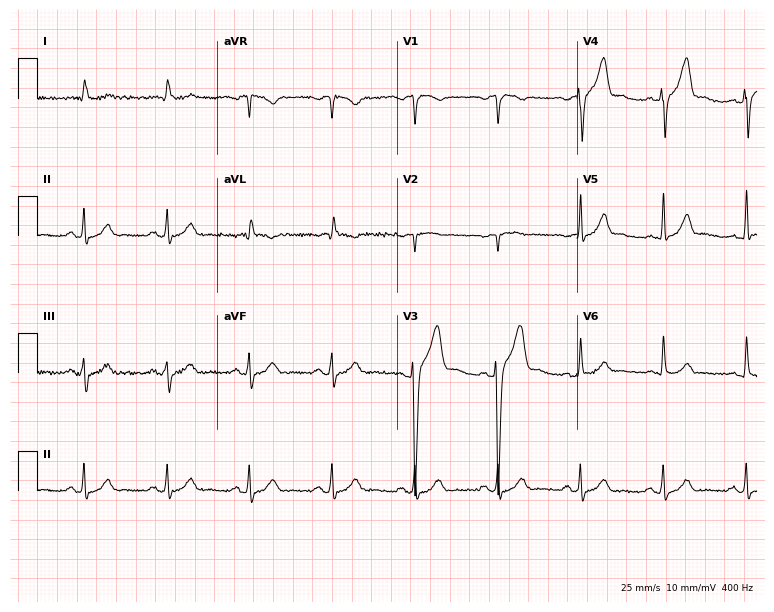
12-lead ECG from a male patient, 68 years old. Labelled as a normal ECG.